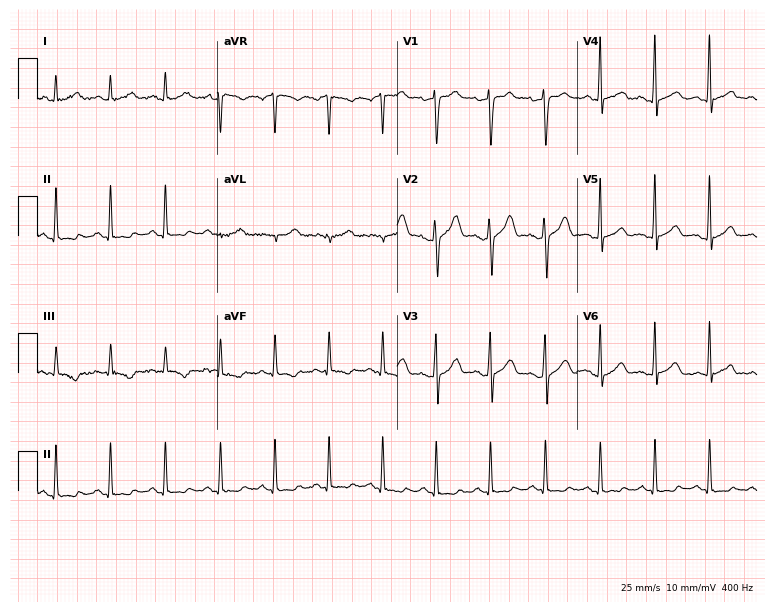
ECG — a 34-year-old male. Screened for six findings — first-degree AV block, right bundle branch block, left bundle branch block, sinus bradycardia, atrial fibrillation, sinus tachycardia — none is recorded.